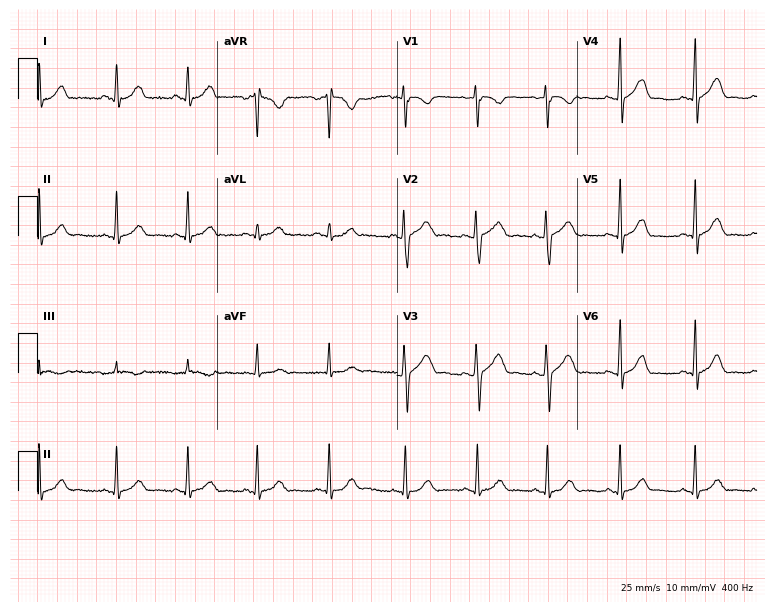
ECG — an 18-year-old female patient. Screened for six findings — first-degree AV block, right bundle branch block (RBBB), left bundle branch block (LBBB), sinus bradycardia, atrial fibrillation (AF), sinus tachycardia — none is recorded.